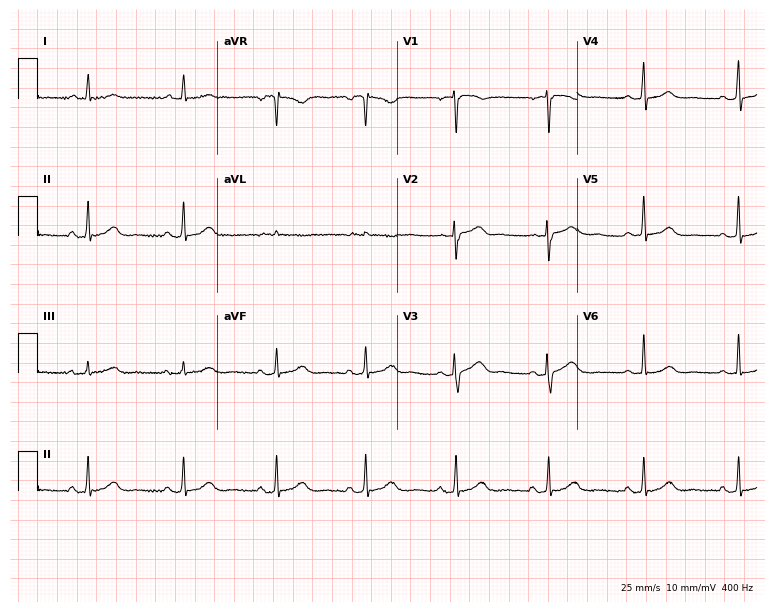
12-lead ECG from a 51-year-old woman. Recorded interpretation: within normal limits.